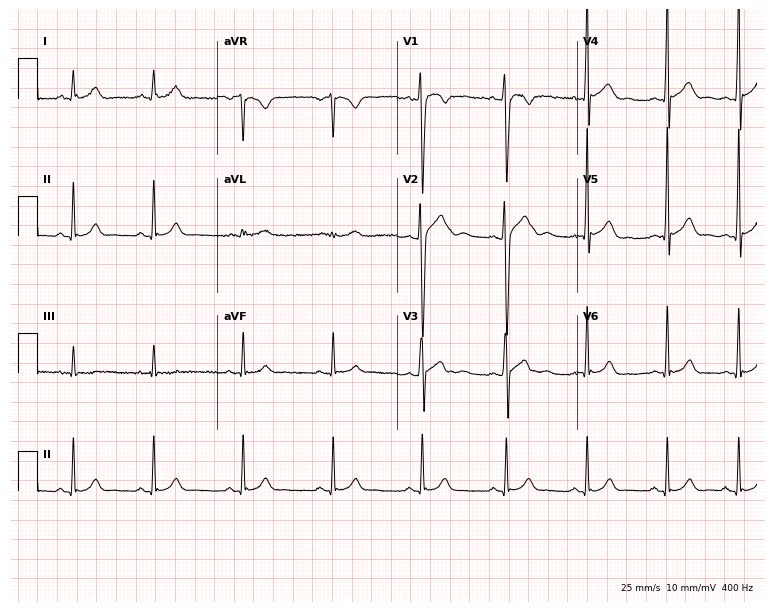
12-lead ECG from a 17-year-old male (7.3-second recording at 400 Hz). No first-degree AV block, right bundle branch block (RBBB), left bundle branch block (LBBB), sinus bradycardia, atrial fibrillation (AF) or sinus tachycardia recorded for this tracing.